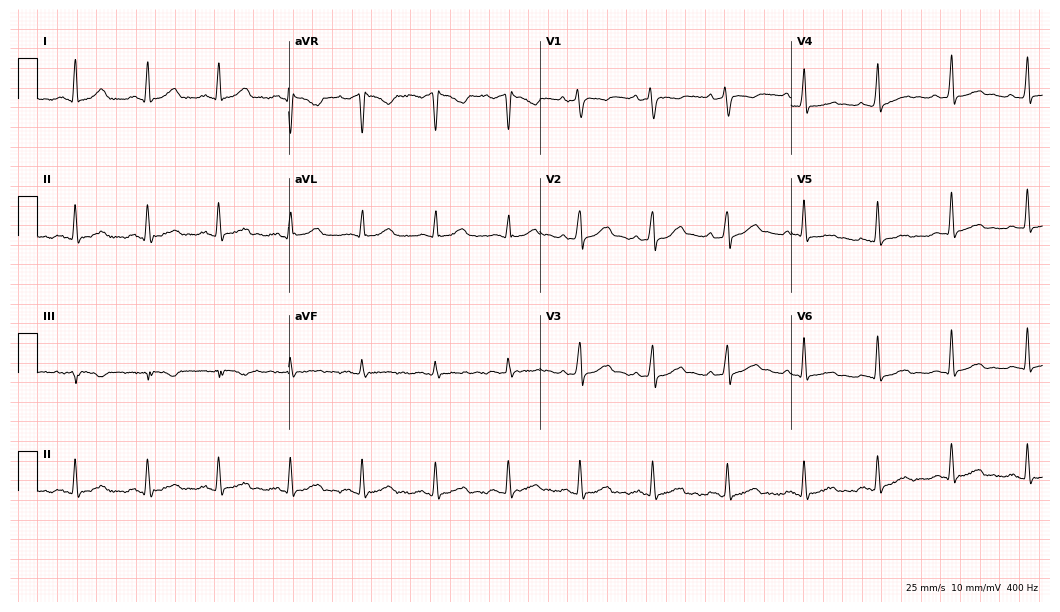
Electrocardiogram, a male, 39 years old. Of the six screened findings (first-degree AV block, right bundle branch block, left bundle branch block, sinus bradycardia, atrial fibrillation, sinus tachycardia), none is recorded. Findings outside these six are not listed.